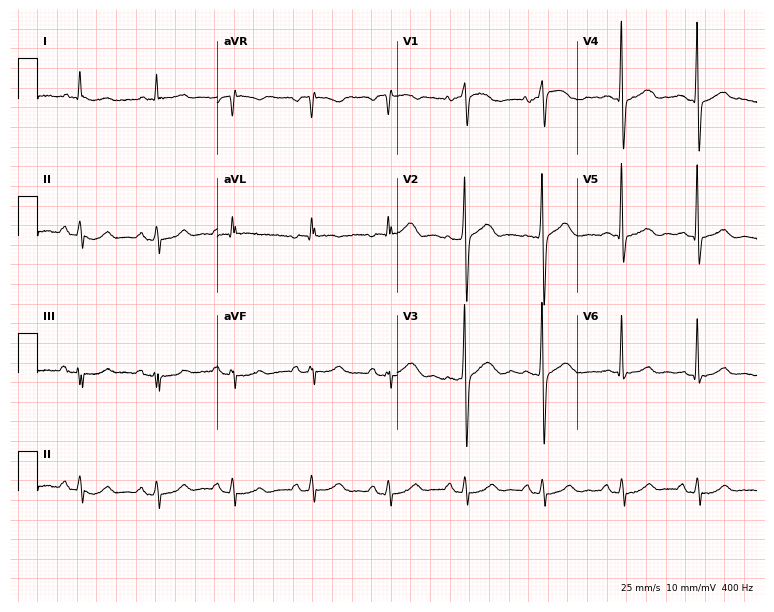
Resting 12-lead electrocardiogram. Patient: a male, 64 years old. None of these six findings is recorded: first-degree AV block, right bundle branch block, left bundle branch block, sinus bradycardia, atrial fibrillation, sinus tachycardia.